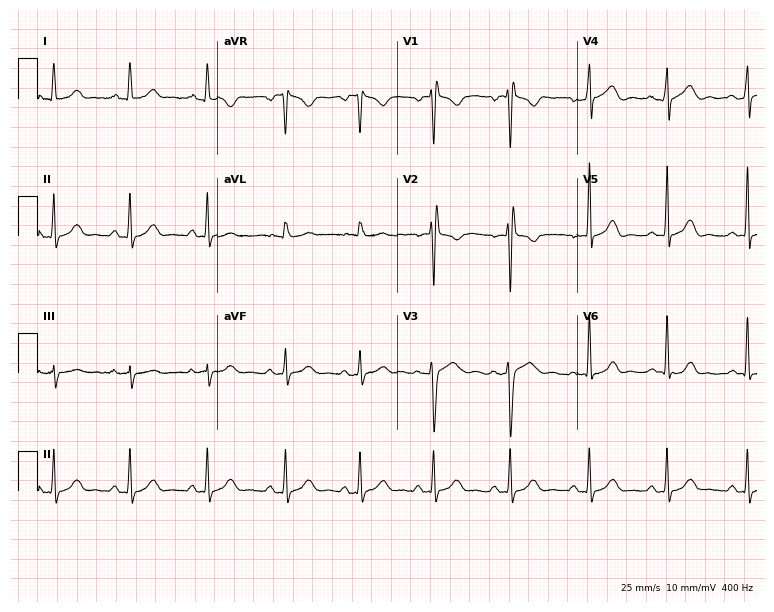
Standard 12-lead ECG recorded from a 33-year-old female patient. None of these six findings is recorded: first-degree AV block, right bundle branch block, left bundle branch block, sinus bradycardia, atrial fibrillation, sinus tachycardia. Findings outside these six are not listed.